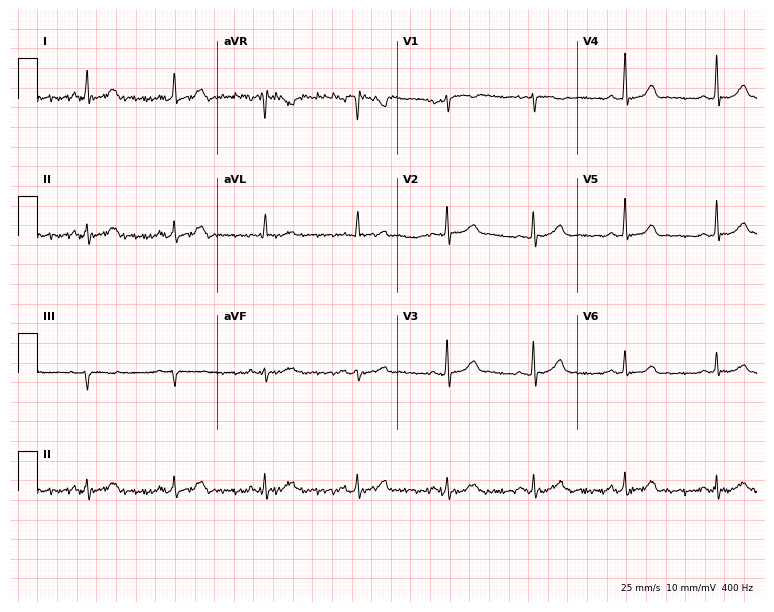
12-lead ECG from a female patient, 56 years old (7.3-second recording at 400 Hz). No first-degree AV block, right bundle branch block, left bundle branch block, sinus bradycardia, atrial fibrillation or sinus tachycardia recorded for this tracing. Findings outside these six are not listed.